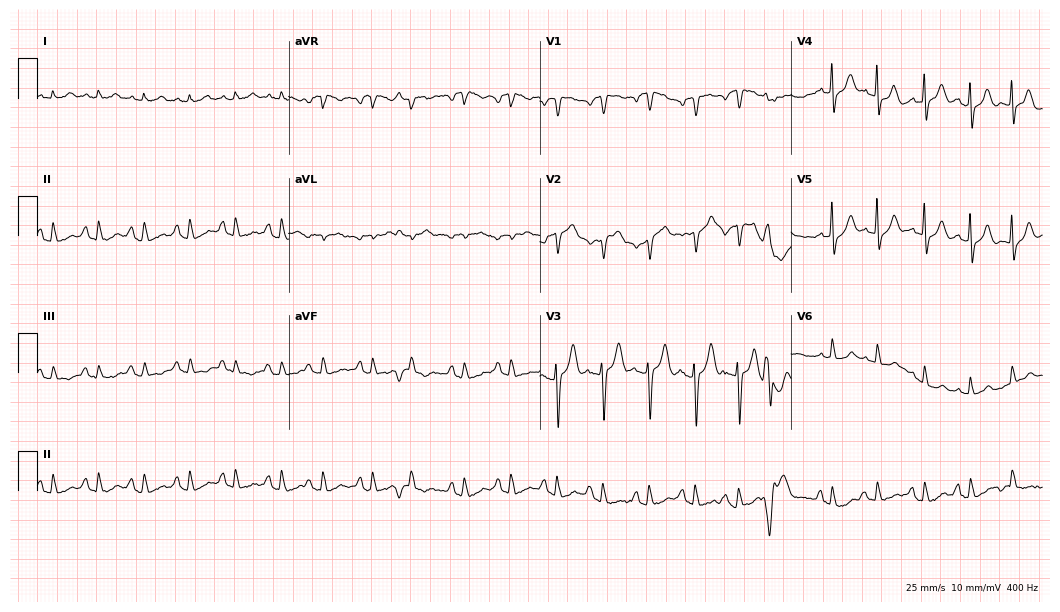
Electrocardiogram (10.2-second recording at 400 Hz), a man, 80 years old. Interpretation includes sinus tachycardia (a sinus rate of 100 beats per minute or more).